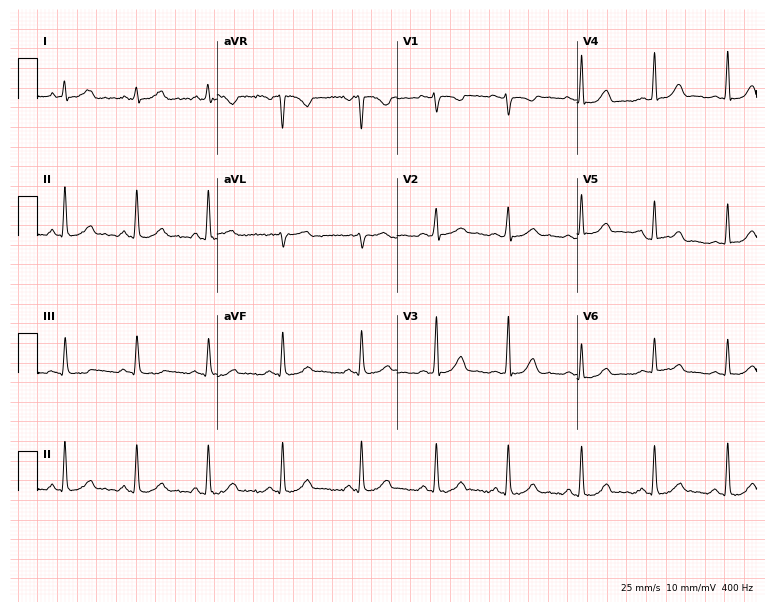
ECG — a female, 31 years old. Screened for six findings — first-degree AV block, right bundle branch block, left bundle branch block, sinus bradycardia, atrial fibrillation, sinus tachycardia — none is recorded. Other findings, if any, are not listed.